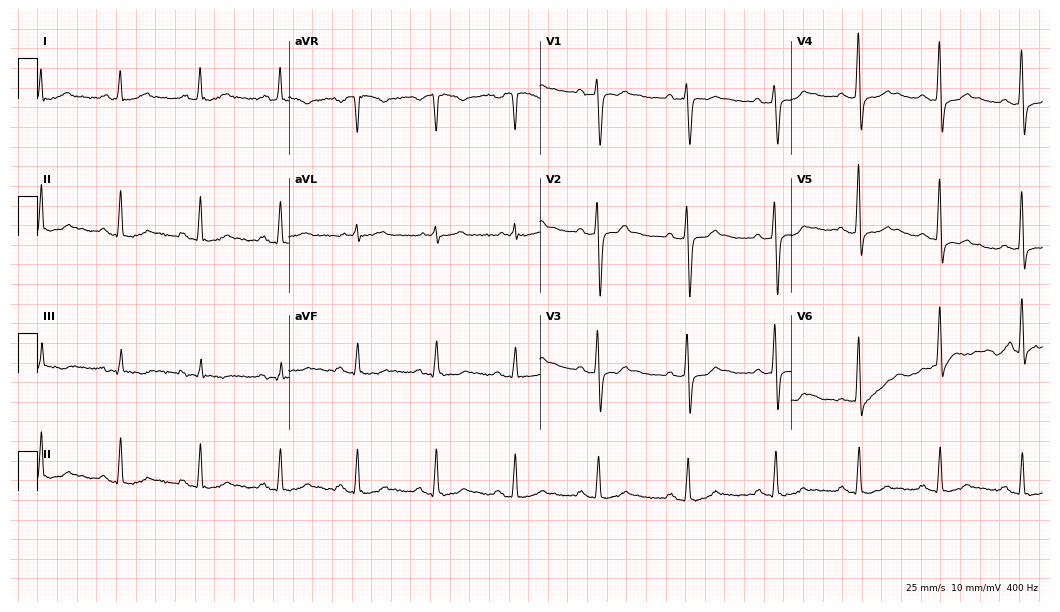
Standard 12-lead ECG recorded from a 62-year-old male (10.2-second recording at 400 Hz). None of these six findings is recorded: first-degree AV block, right bundle branch block, left bundle branch block, sinus bradycardia, atrial fibrillation, sinus tachycardia. Other findings, if any, are not listed.